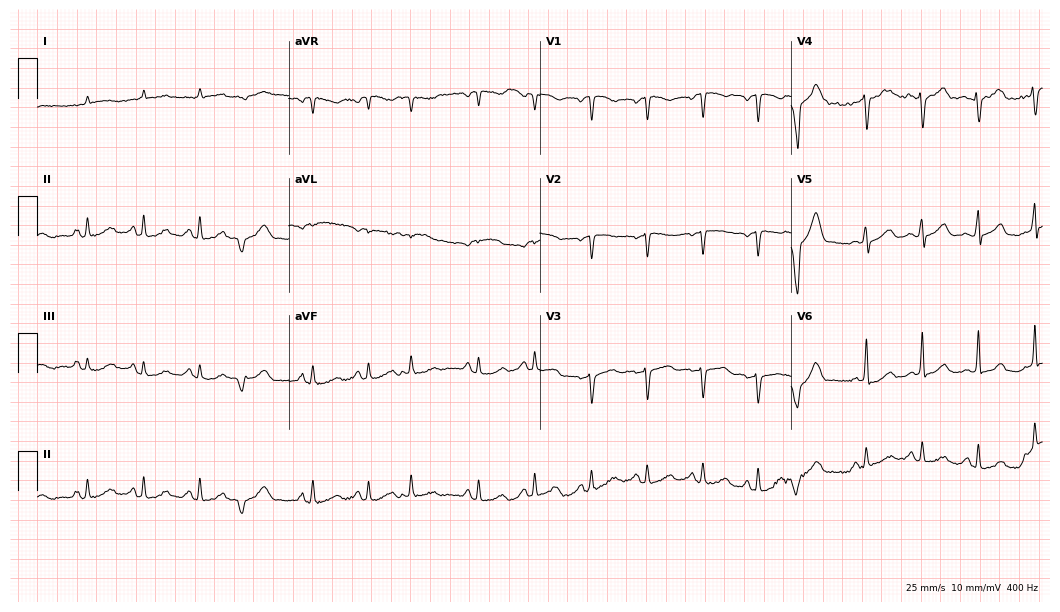
ECG — a 77-year-old male. Screened for six findings — first-degree AV block, right bundle branch block, left bundle branch block, sinus bradycardia, atrial fibrillation, sinus tachycardia — none is recorded.